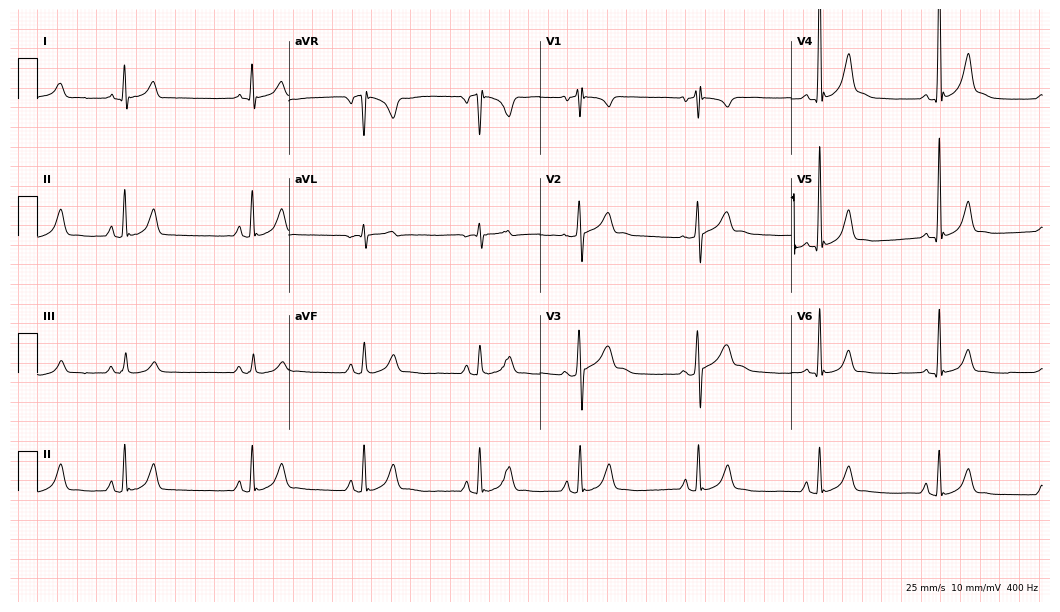
12-lead ECG from a male, 19 years old. Screened for six findings — first-degree AV block, right bundle branch block (RBBB), left bundle branch block (LBBB), sinus bradycardia, atrial fibrillation (AF), sinus tachycardia — none is recorded. Other findings, if any, are not listed.